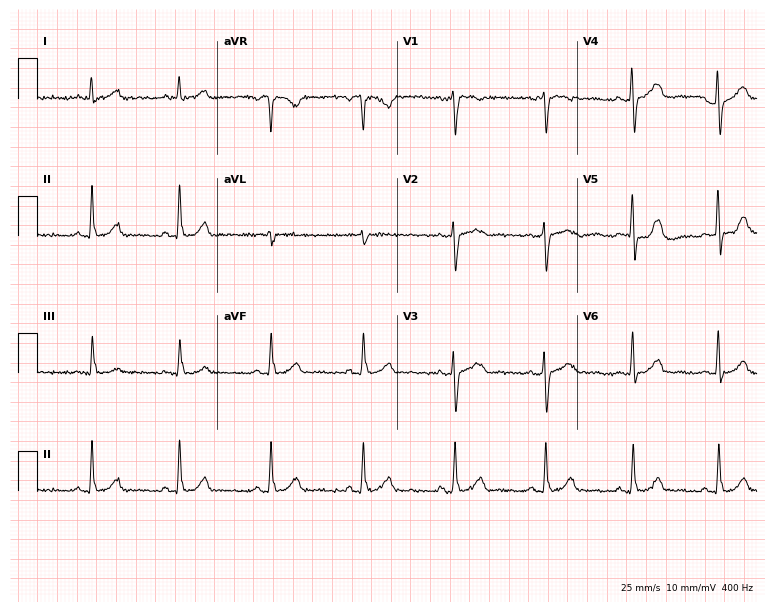
12-lead ECG from a female, 58 years old. Screened for six findings — first-degree AV block, right bundle branch block, left bundle branch block, sinus bradycardia, atrial fibrillation, sinus tachycardia — none is recorded.